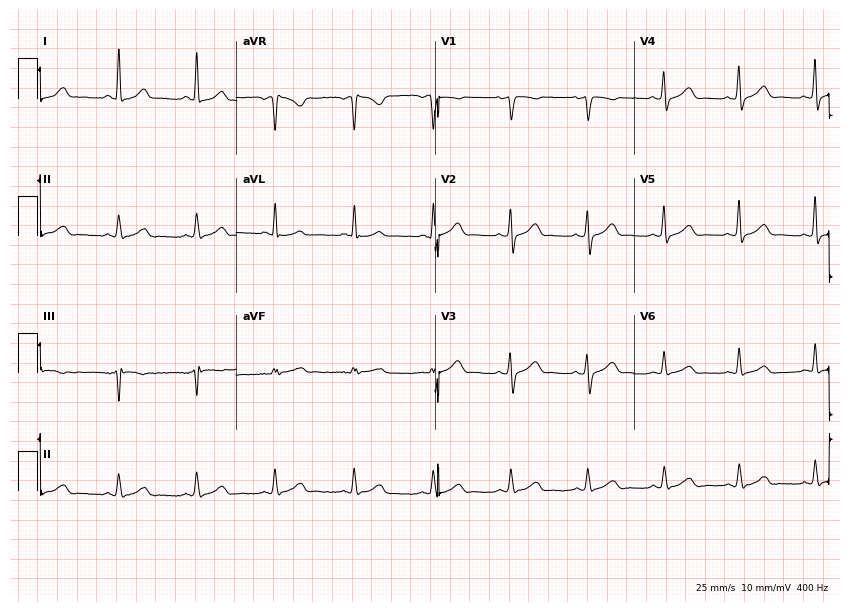
Resting 12-lead electrocardiogram. Patient: a female, 44 years old. Read as a normal ECG.